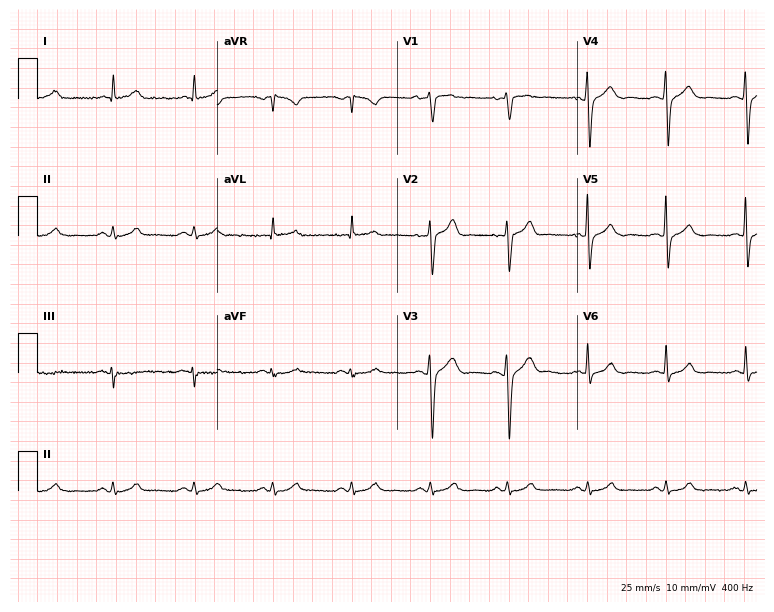
Resting 12-lead electrocardiogram. Patient: a 44-year-old man. Read as a normal ECG.